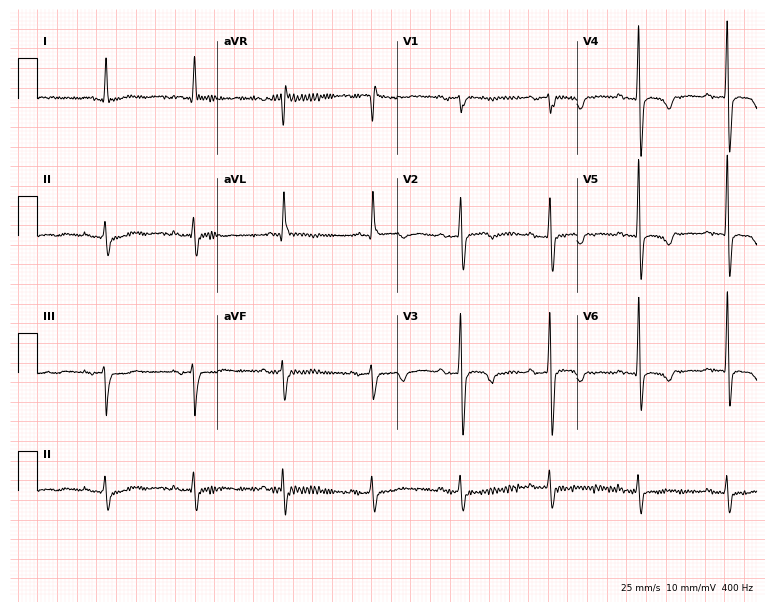
12-lead ECG from a male patient, 74 years old. Screened for six findings — first-degree AV block, right bundle branch block, left bundle branch block, sinus bradycardia, atrial fibrillation, sinus tachycardia — none is recorded. Only these six findings were labelled.